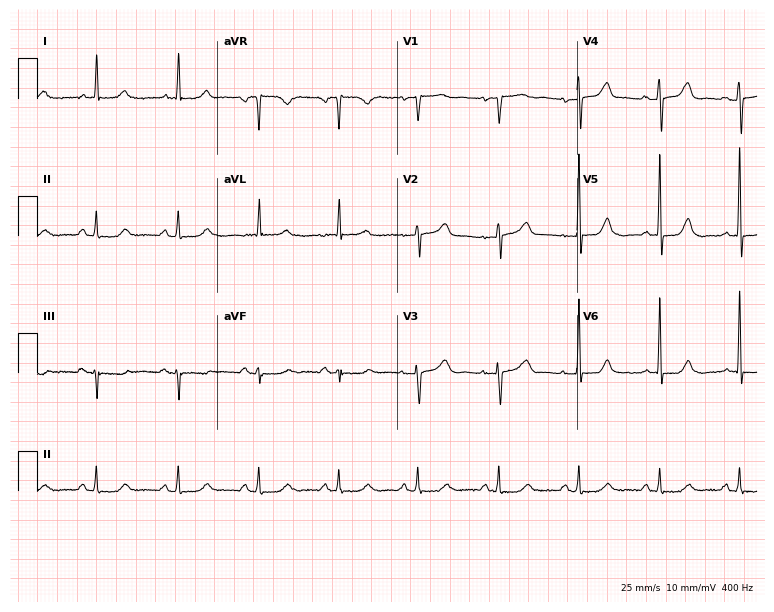
ECG (7.3-second recording at 400 Hz) — a female, 82 years old. Labelled as a normal ECG.